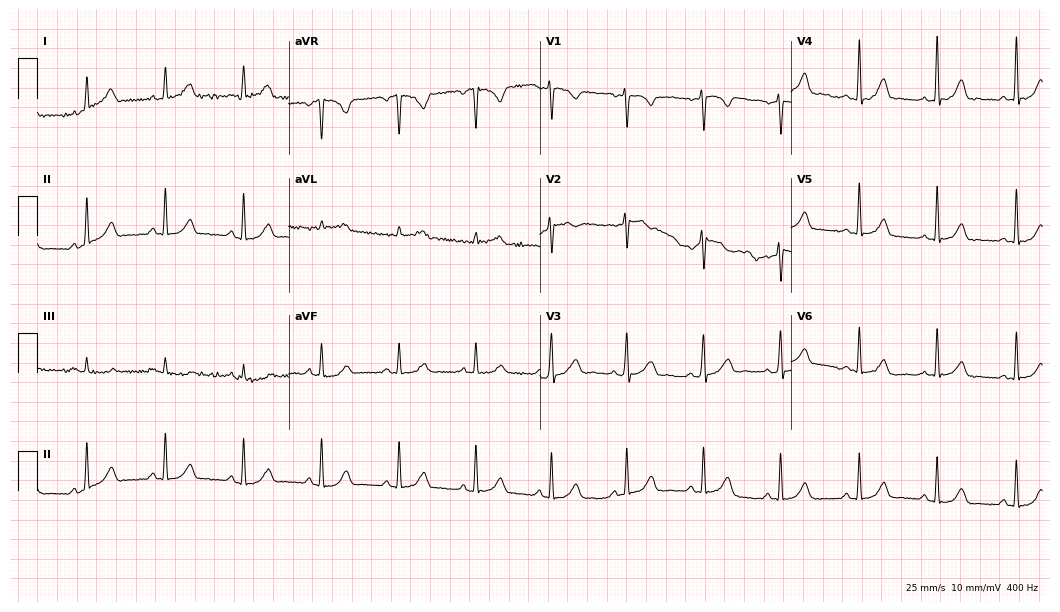
12-lead ECG (10.2-second recording at 400 Hz) from a 42-year-old female patient. Labelled as a normal ECG.